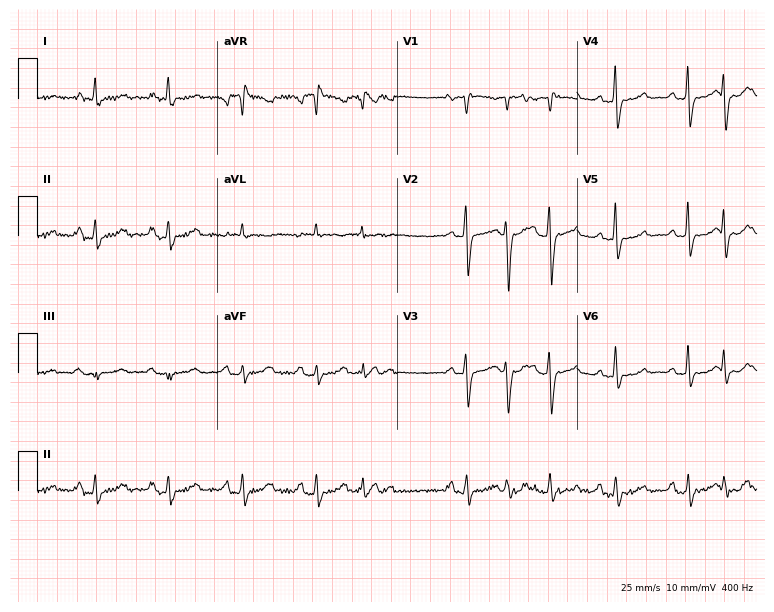
ECG — a 71-year-old female. Labelled as a normal ECG.